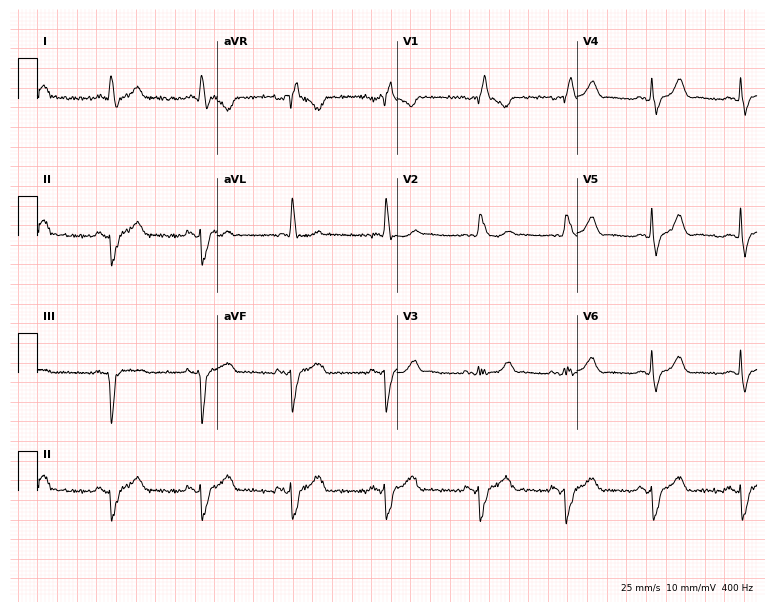
Resting 12-lead electrocardiogram (7.3-second recording at 400 Hz). Patient: a woman, 69 years old. The tracing shows right bundle branch block.